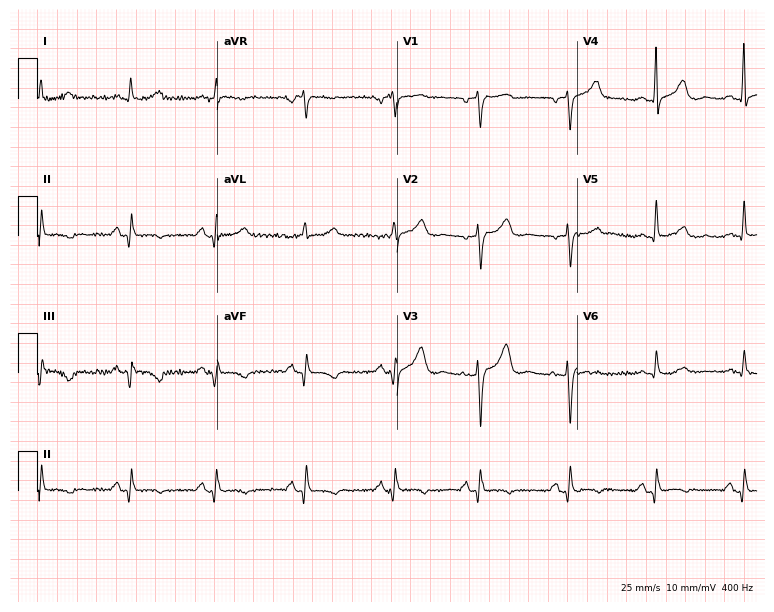
Standard 12-lead ECG recorded from a 70-year-old female patient (7.3-second recording at 400 Hz). None of these six findings is recorded: first-degree AV block, right bundle branch block, left bundle branch block, sinus bradycardia, atrial fibrillation, sinus tachycardia.